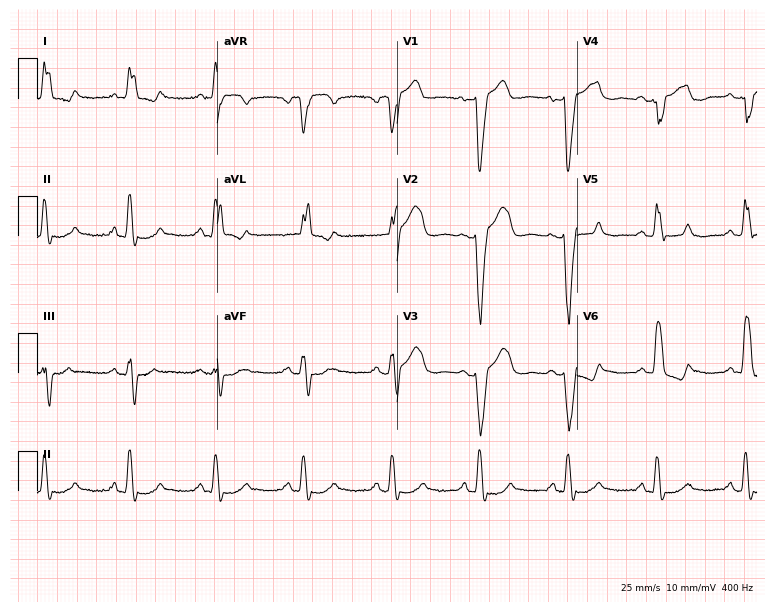
12-lead ECG (7.3-second recording at 400 Hz) from a woman, 66 years old. Findings include left bundle branch block.